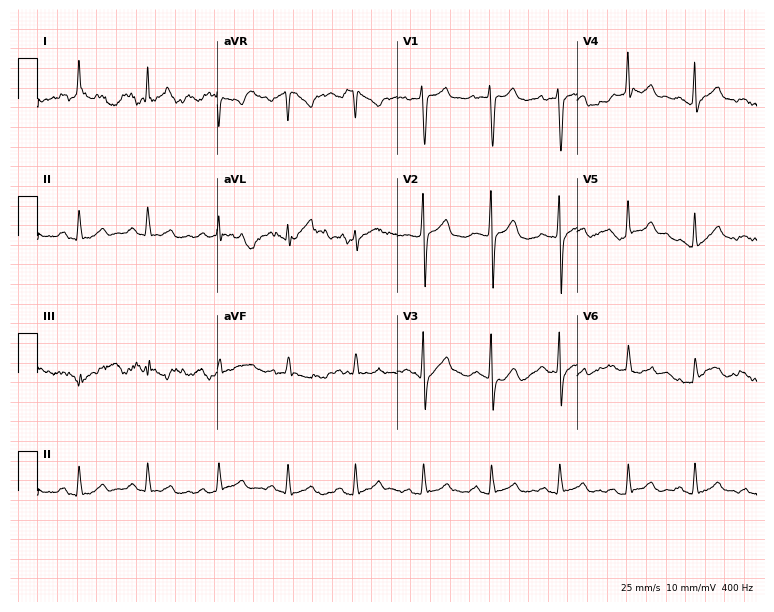
Standard 12-lead ECG recorded from a 32-year-old male. Read as a normal ECG.